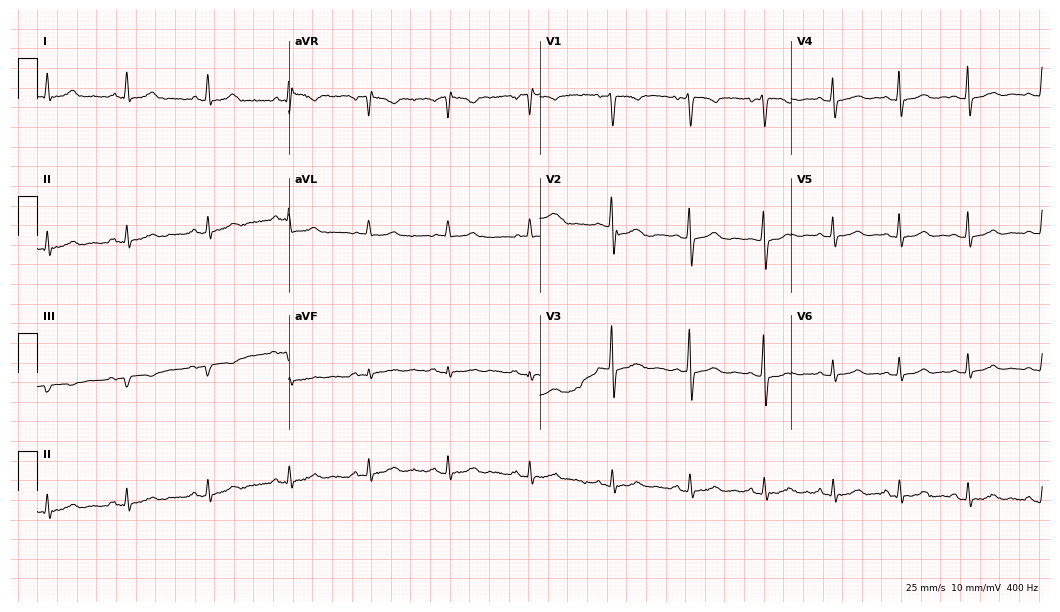
Standard 12-lead ECG recorded from a female, 59 years old (10.2-second recording at 400 Hz). Read as a normal ECG.